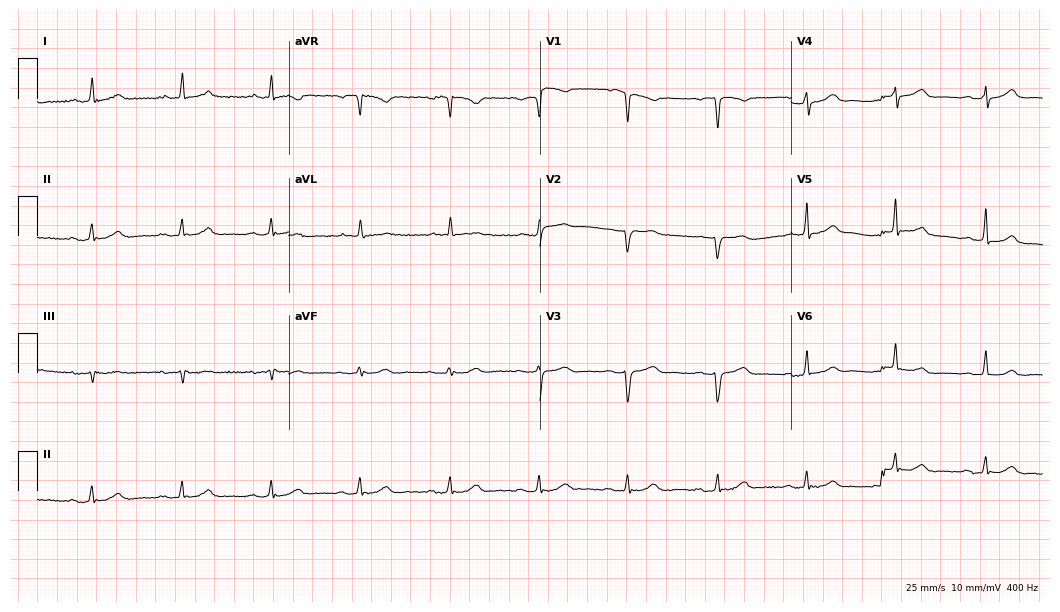
Resting 12-lead electrocardiogram. Patient: an 81-year-old female. None of these six findings is recorded: first-degree AV block, right bundle branch block, left bundle branch block, sinus bradycardia, atrial fibrillation, sinus tachycardia.